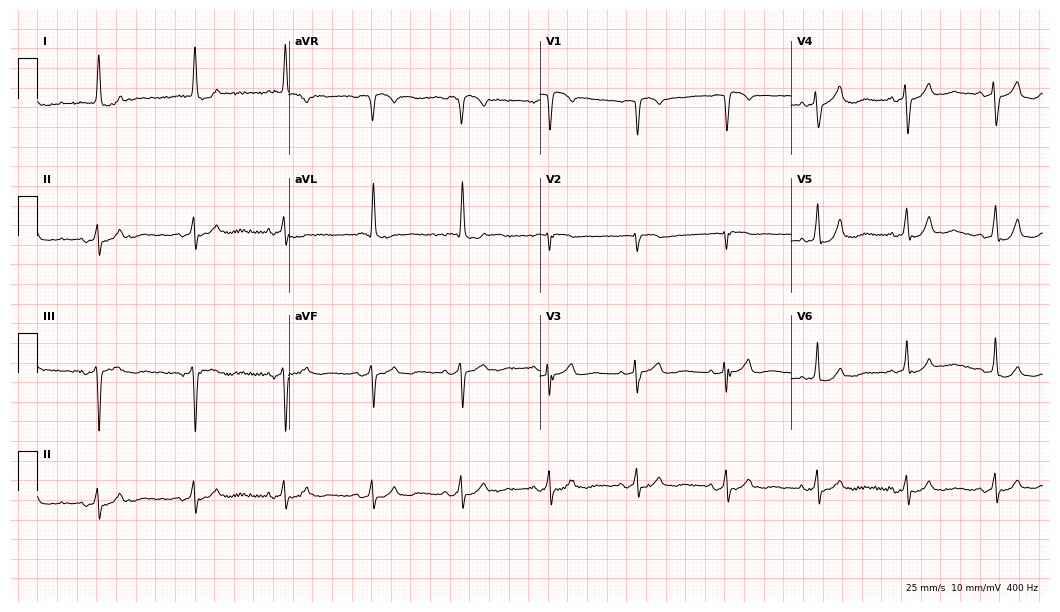
Standard 12-lead ECG recorded from a female patient, 77 years old. None of these six findings is recorded: first-degree AV block, right bundle branch block (RBBB), left bundle branch block (LBBB), sinus bradycardia, atrial fibrillation (AF), sinus tachycardia. Other findings, if any, are not listed.